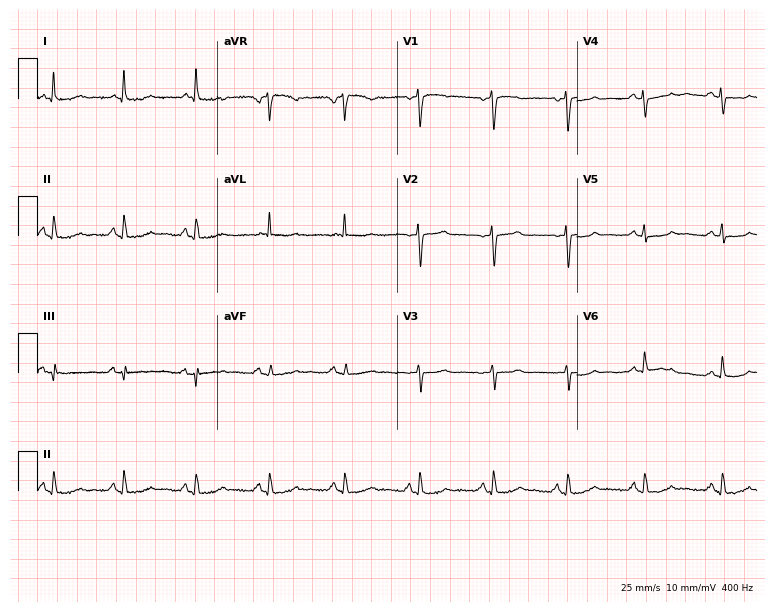
ECG — a 48-year-old female. Labelled as a normal ECG.